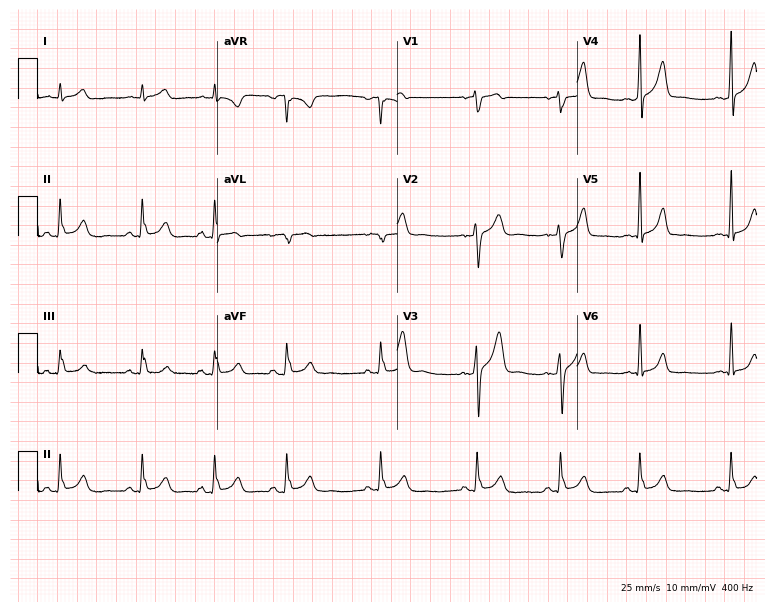
12-lead ECG (7.3-second recording at 400 Hz) from a 32-year-old male. Labelled as a normal ECG.